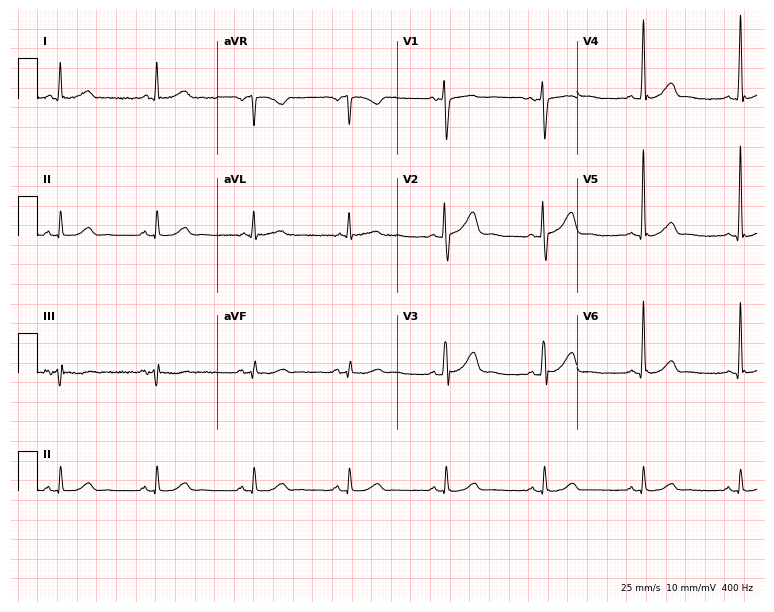
Resting 12-lead electrocardiogram (7.3-second recording at 400 Hz). Patient: a male, 44 years old. None of these six findings is recorded: first-degree AV block, right bundle branch block (RBBB), left bundle branch block (LBBB), sinus bradycardia, atrial fibrillation (AF), sinus tachycardia.